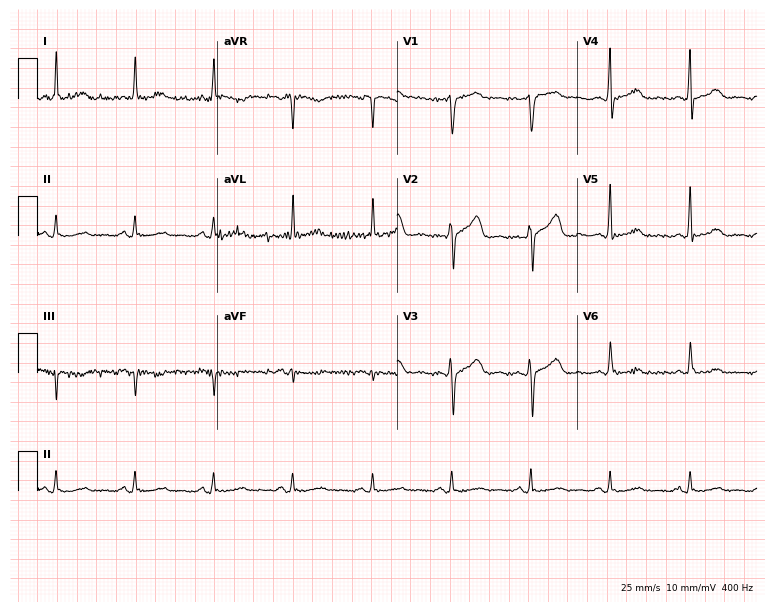
Standard 12-lead ECG recorded from an 81-year-old female patient (7.3-second recording at 400 Hz). Read as a normal ECG.